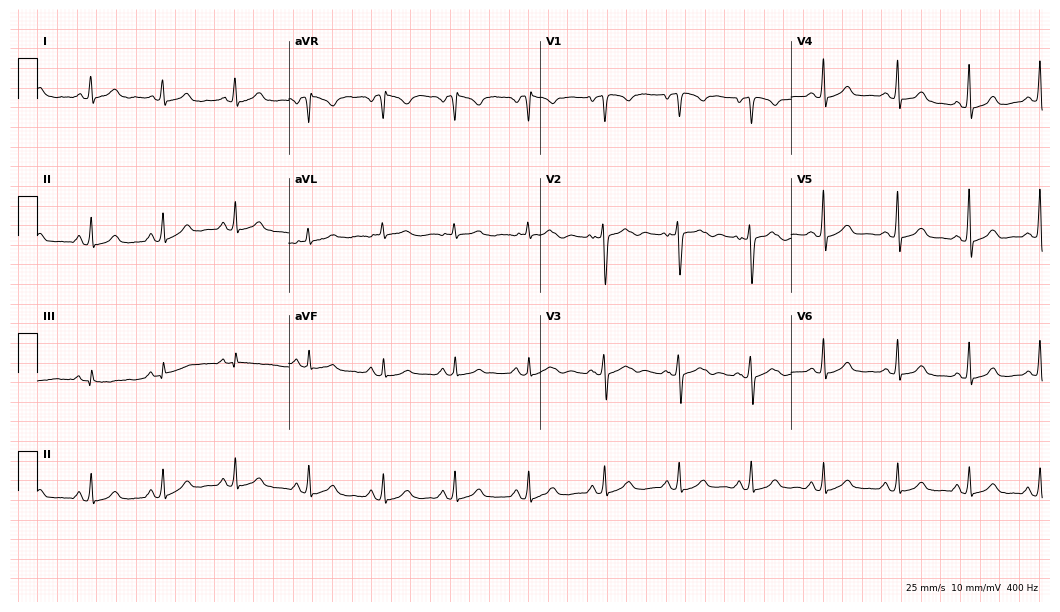
Resting 12-lead electrocardiogram. Patient: a 44-year-old female. Read as a normal ECG.